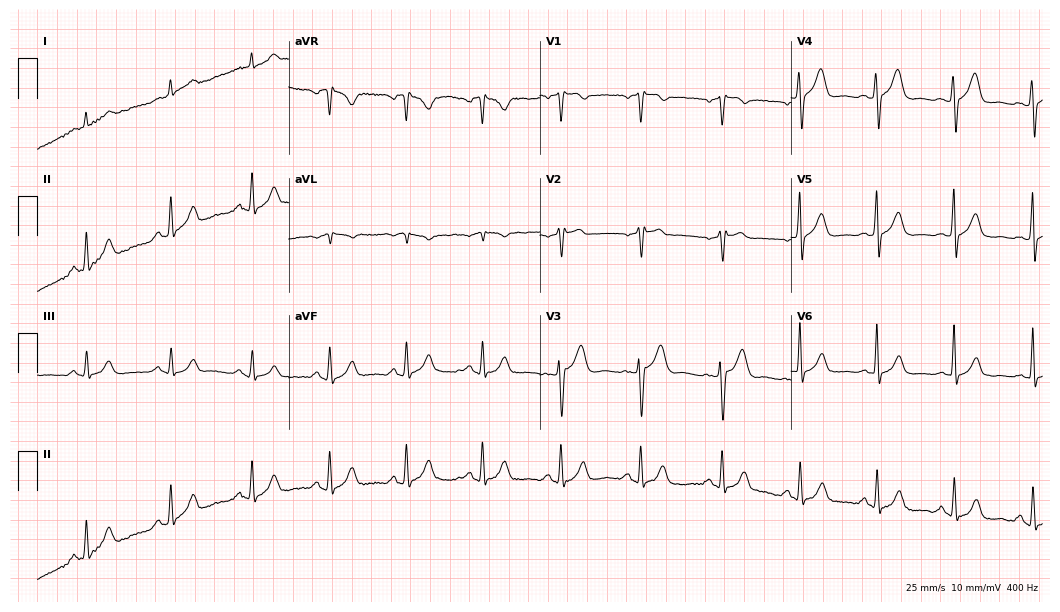
ECG (10.2-second recording at 400 Hz) — a male patient, 62 years old. Labelled as a normal ECG.